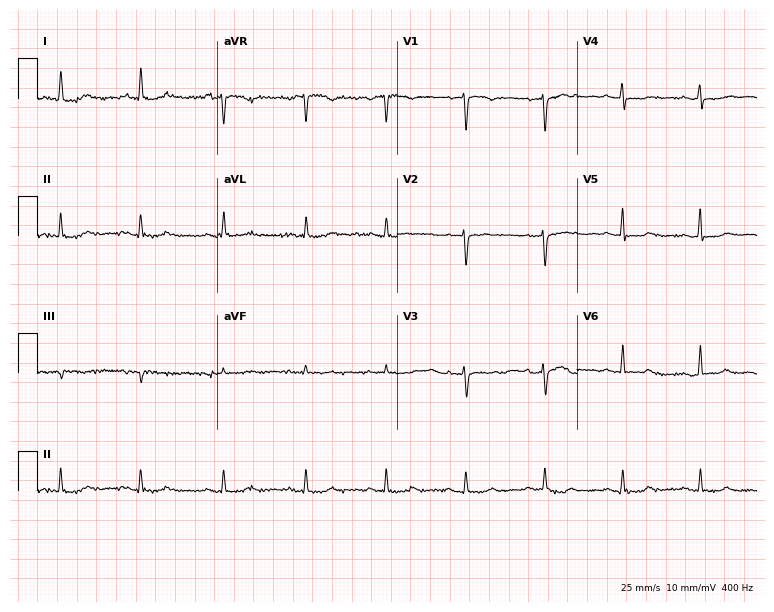
12-lead ECG from a female patient, 63 years old. Screened for six findings — first-degree AV block, right bundle branch block, left bundle branch block, sinus bradycardia, atrial fibrillation, sinus tachycardia — none is recorded.